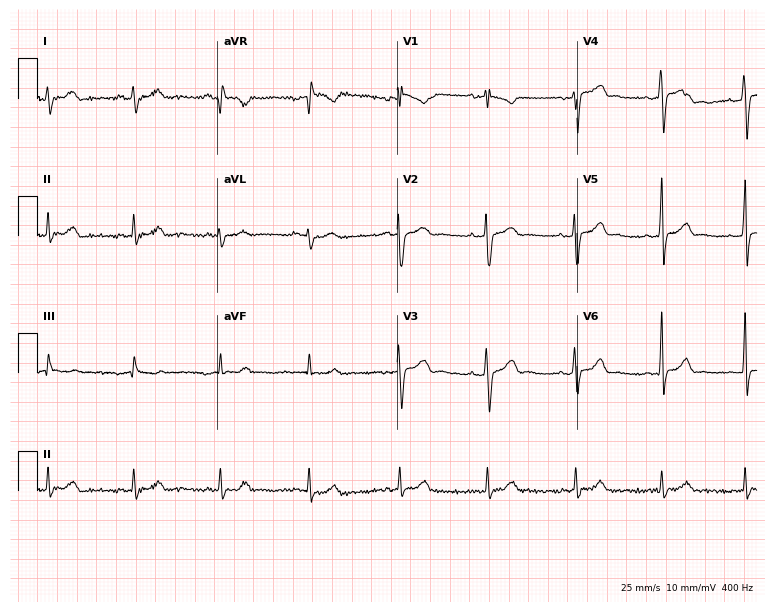
12-lead ECG from a male patient, 25 years old. Screened for six findings — first-degree AV block, right bundle branch block (RBBB), left bundle branch block (LBBB), sinus bradycardia, atrial fibrillation (AF), sinus tachycardia — none is recorded. Findings outside these six are not listed.